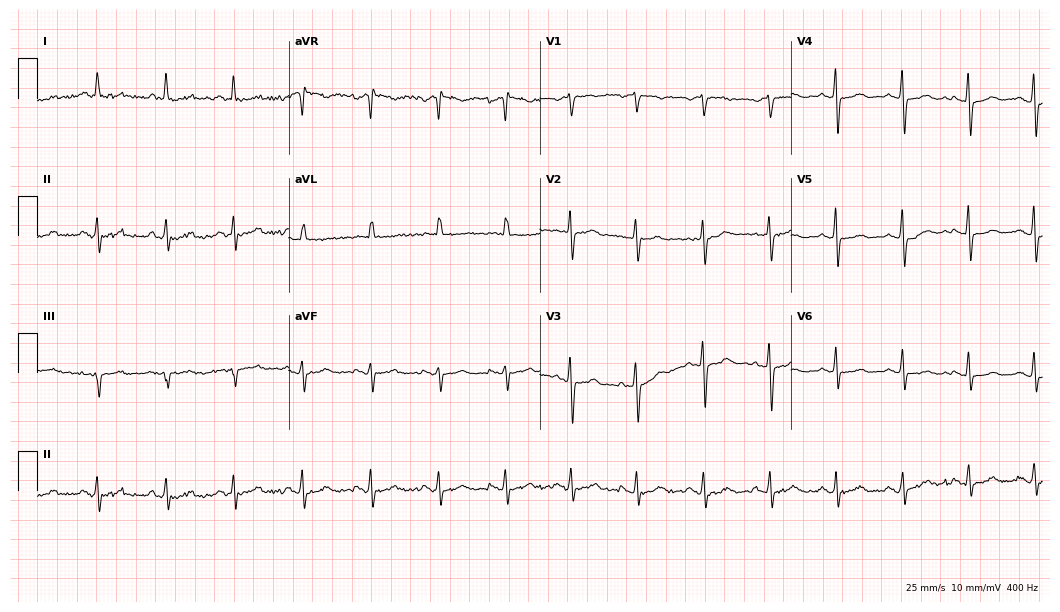
Standard 12-lead ECG recorded from an 84-year-old woman (10.2-second recording at 400 Hz). Read as a normal ECG.